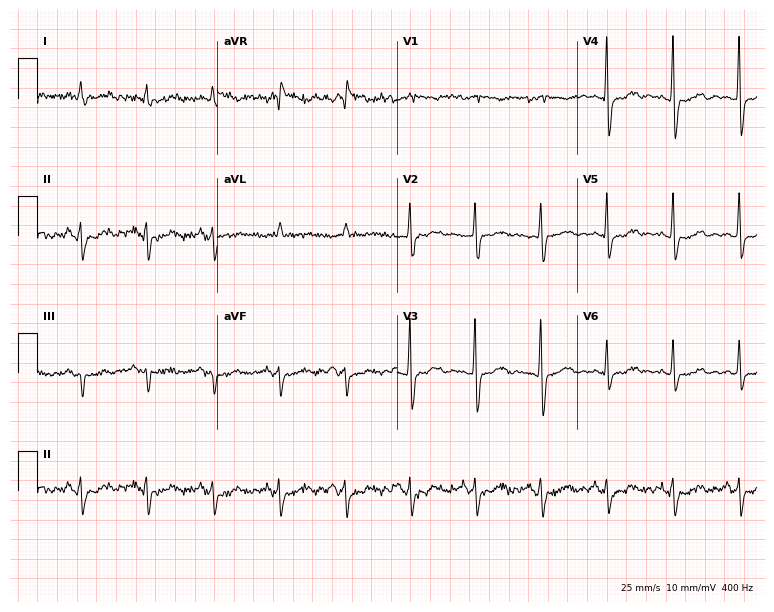
12-lead ECG from a woman, 68 years old (7.3-second recording at 400 Hz). No first-degree AV block, right bundle branch block, left bundle branch block, sinus bradycardia, atrial fibrillation or sinus tachycardia recorded for this tracing. Only these six findings were labelled.